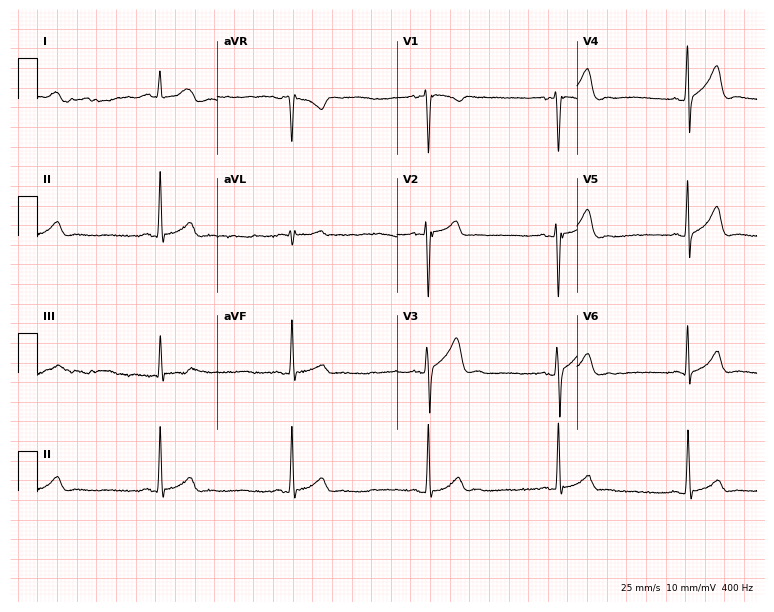
Resting 12-lead electrocardiogram (7.3-second recording at 400 Hz). Patient: a 17-year-old male. The tracing shows sinus bradycardia (a sinus rate of 50 beats per minute or less).